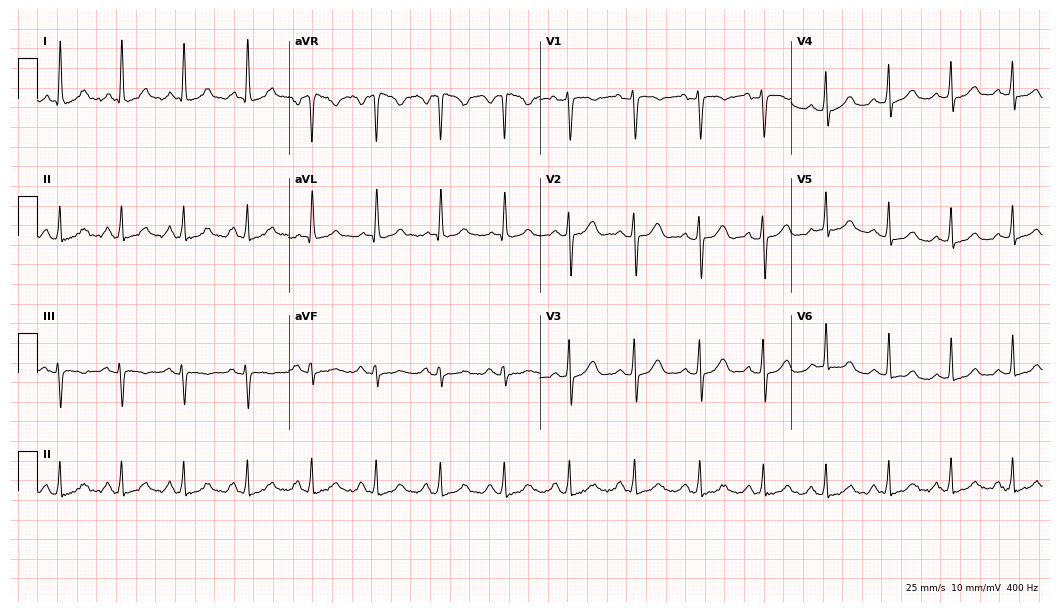
Standard 12-lead ECG recorded from a woman, 73 years old (10.2-second recording at 400 Hz). Read as a normal ECG.